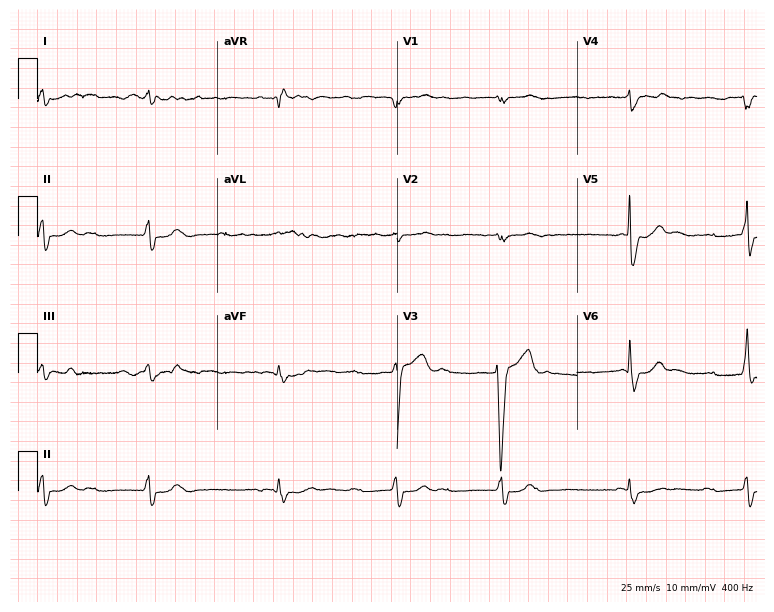
Electrocardiogram, a male, 81 years old. Interpretation includes atrial fibrillation.